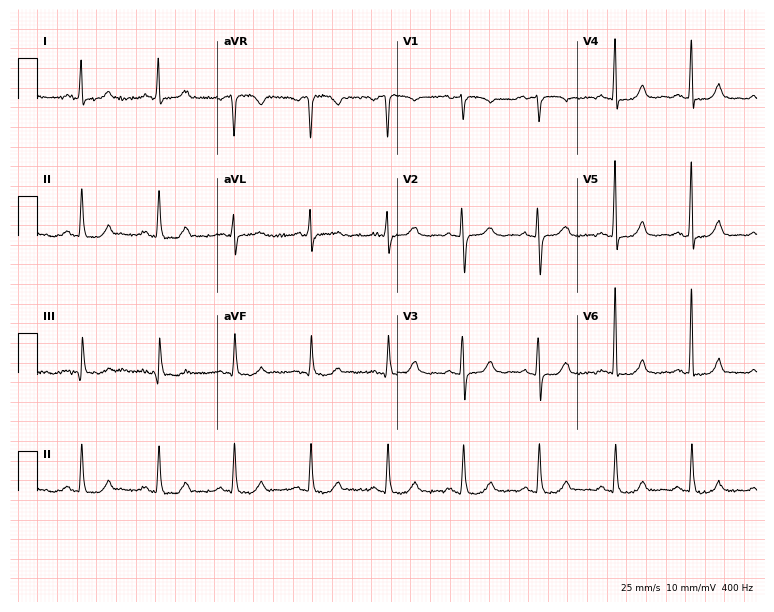
ECG (7.3-second recording at 400 Hz) — a 77-year-old woman. Screened for six findings — first-degree AV block, right bundle branch block, left bundle branch block, sinus bradycardia, atrial fibrillation, sinus tachycardia — none is recorded.